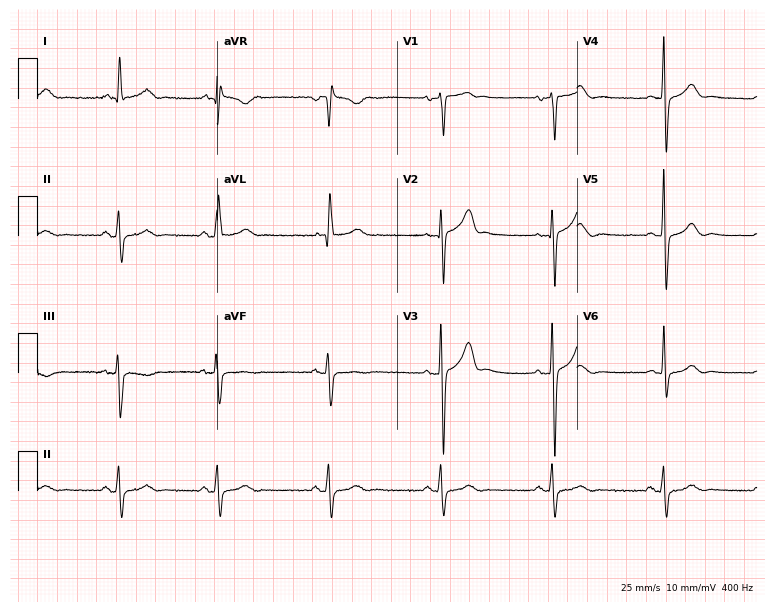
ECG — a 69-year-old man. Screened for six findings — first-degree AV block, right bundle branch block, left bundle branch block, sinus bradycardia, atrial fibrillation, sinus tachycardia — none is recorded. Only these six findings were labelled.